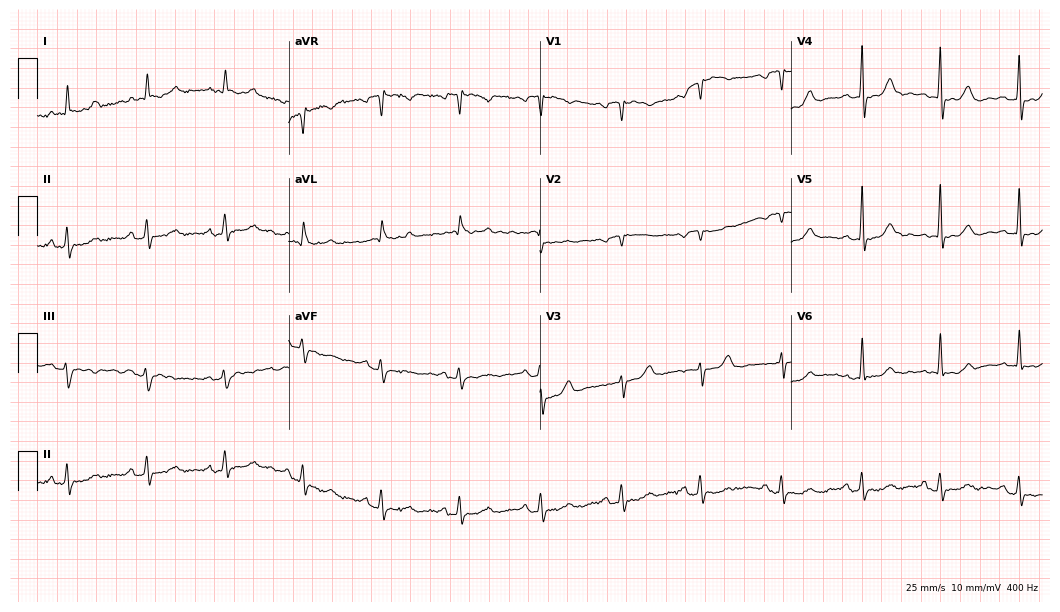
12-lead ECG (10.2-second recording at 400 Hz) from a 76-year-old female. Screened for six findings — first-degree AV block, right bundle branch block, left bundle branch block, sinus bradycardia, atrial fibrillation, sinus tachycardia — none is recorded.